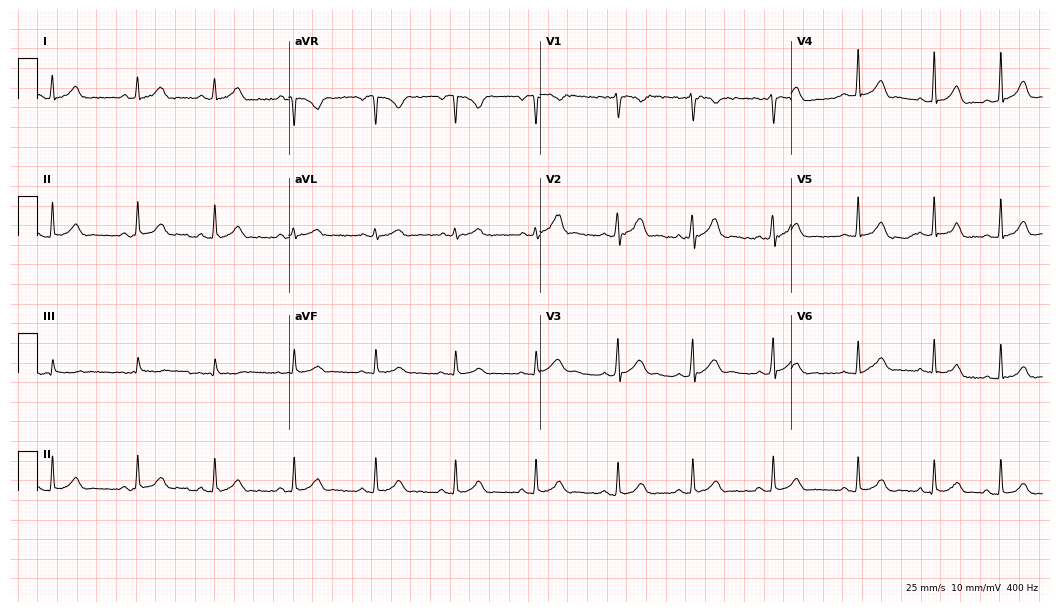
ECG — a female, 18 years old. Screened for six findings — first-degree AV block, right bundle branch block, left bundle branch block, sinus bradycardia, atrial fibrillation, sinus tachycardia — none is recorded. Other findings, if any, are not listed.